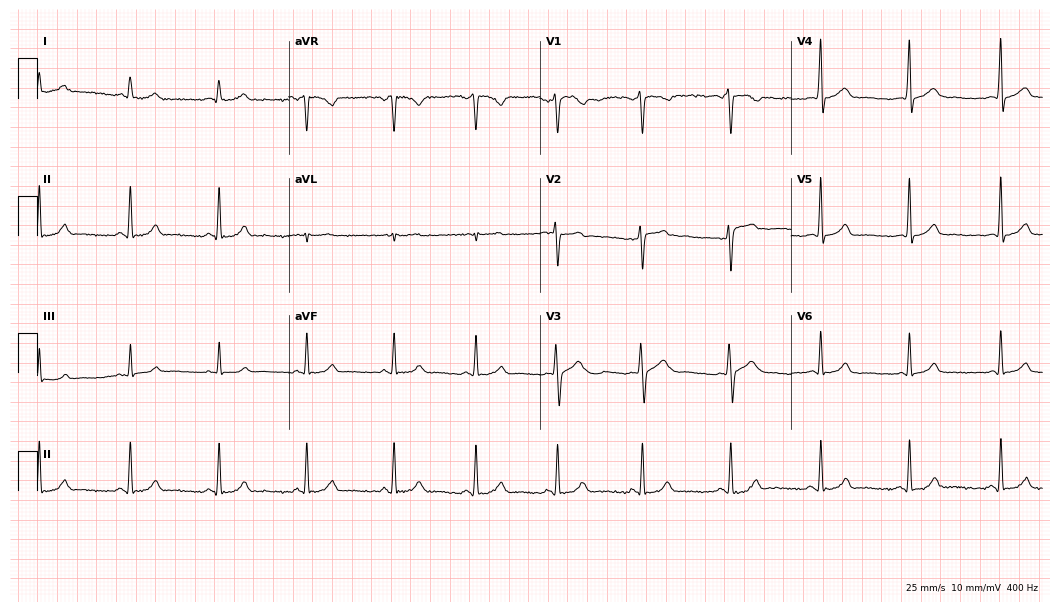
12-lead ECG from a male, 37 years old. Recorded interpretation: within normal limits.